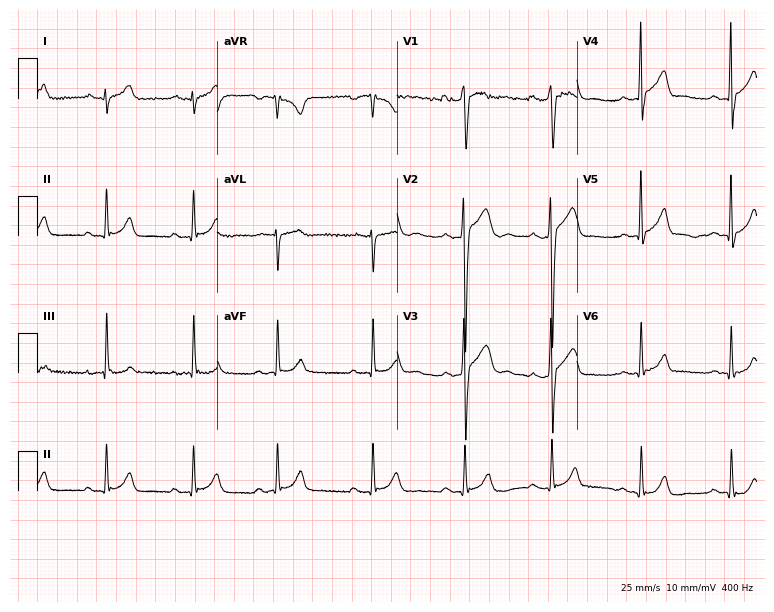
12-lead ECG (7.3-second recording at 400 Hz) from a 23-year-old male. Labelled as a normal ECG.